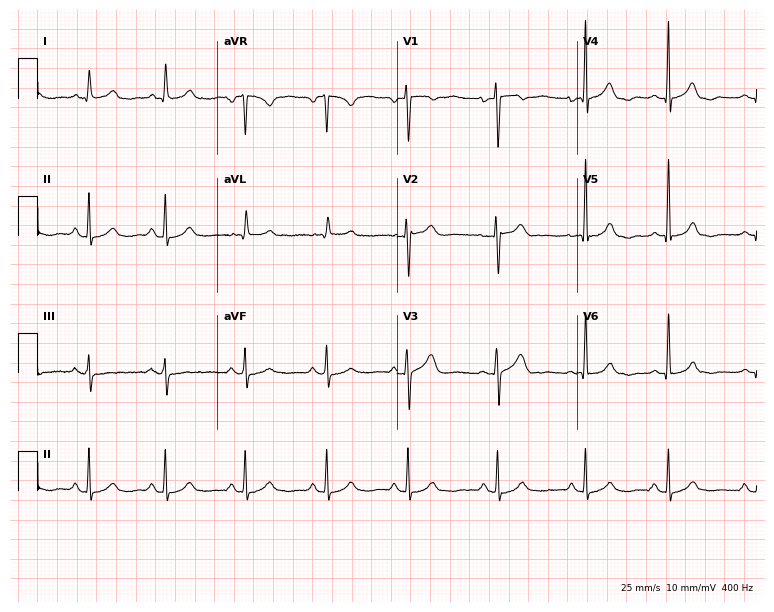
ECG (7.3-second recording at 400 Hz) — a female patient, 48 years old. Labelled as a normal ECG.